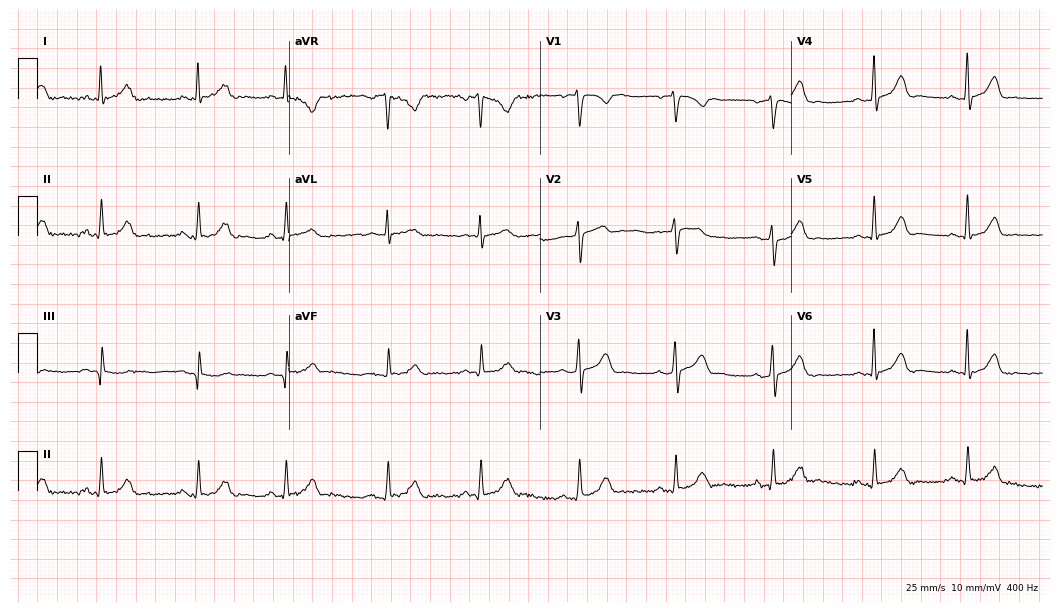
Resting 12-lead electrocardiogram. Patient: a 53-year-old female. None of these six findings is recorded: first-degree AV block, right bundle branch block, left bundle branch block, sinus bradycardia, atrial fibrillation, sinus tachycardia. Findings outside these six are not listed.